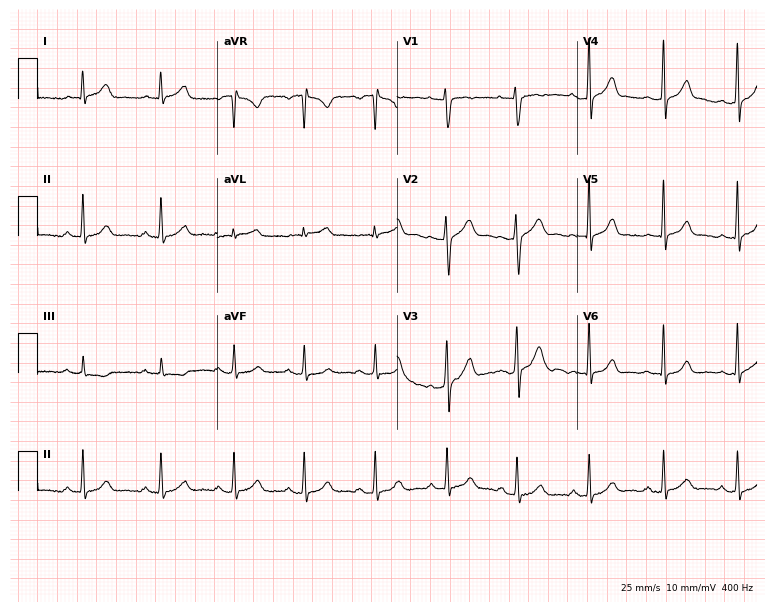
Electrocardiogram, a 39-year-old man. Overall reading on record: normal ECG.